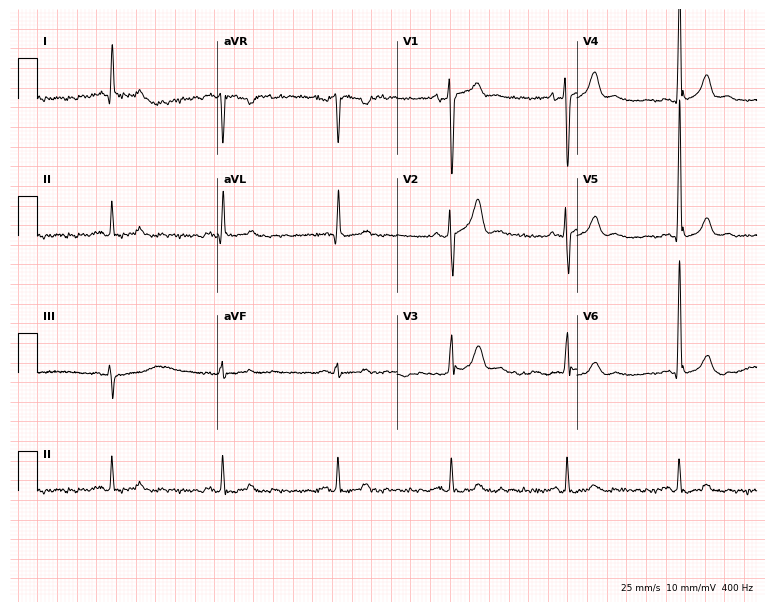
12-lead ECG from a 51-year-old man (7.3-second recording at 400 Hz). No first-degree AV block, right bundle branch block, left bundle branch block, sinus bradycardia, atrial fibrillation or sinus tachycardia recorded for this tracing.